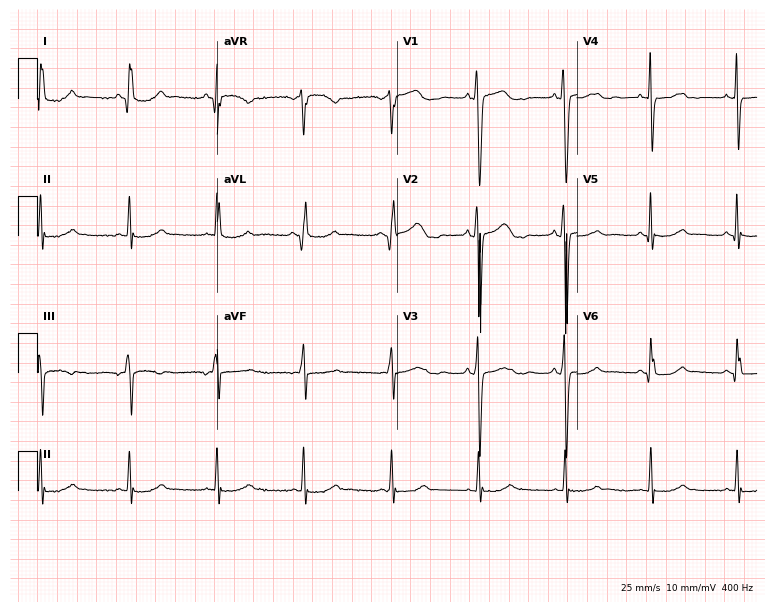
12-lead ECG from a 48-year-old female patient. No first-degree AV block, right bundle branch block (RBBB), left bundle branch block (LBBB), sinus bradycardia, atrial fibrillation (AF) or sinus tachycardia recorded for this tracing. Other findings, if any, are not listed.